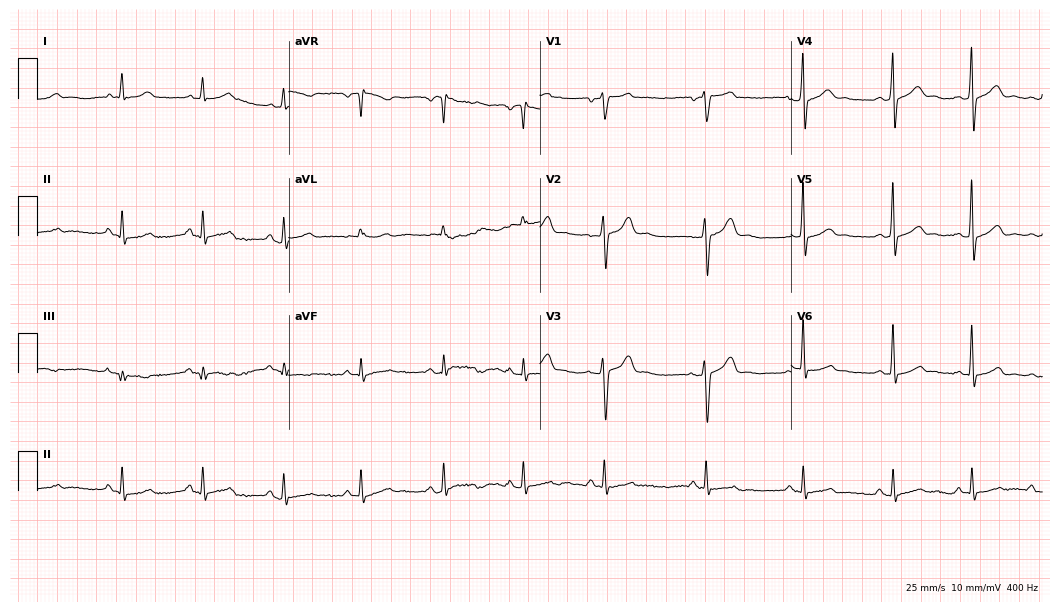
Resting 12-lead electrocardiogram (10.2-second recording at 400 Hz). Patient: a man, 28 years old. Read as a normal ECG.